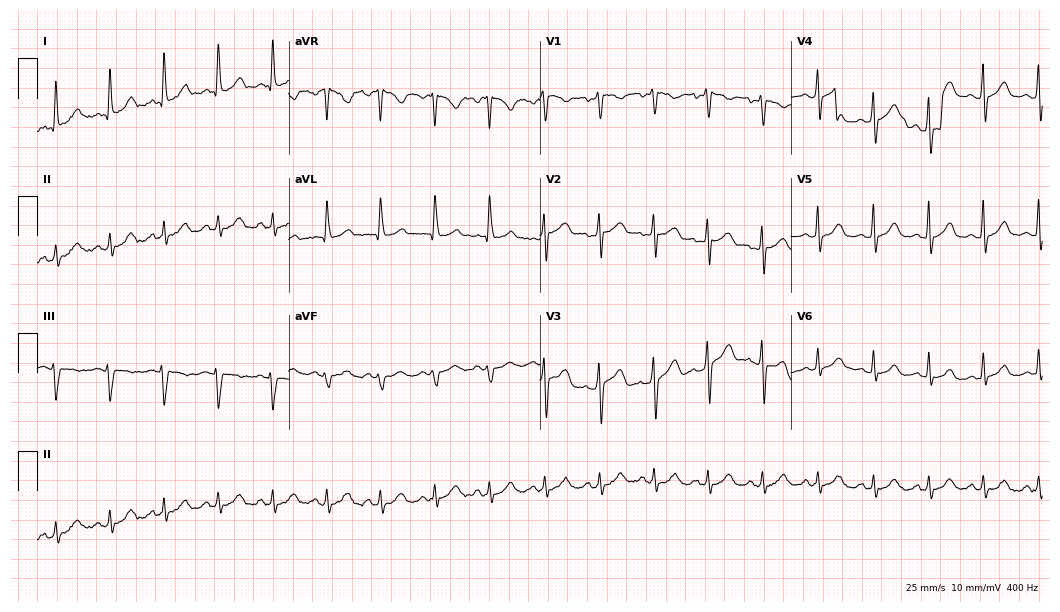
ECG (10.2-second recording at 400 Hz) — a 36-year-old female patient. Screened for six findings — first-degree AV block, right bundle branch block, left bundle branch block, sinus bradycardia, atrial fibrillation, sinus tachycardia — none is recorded.